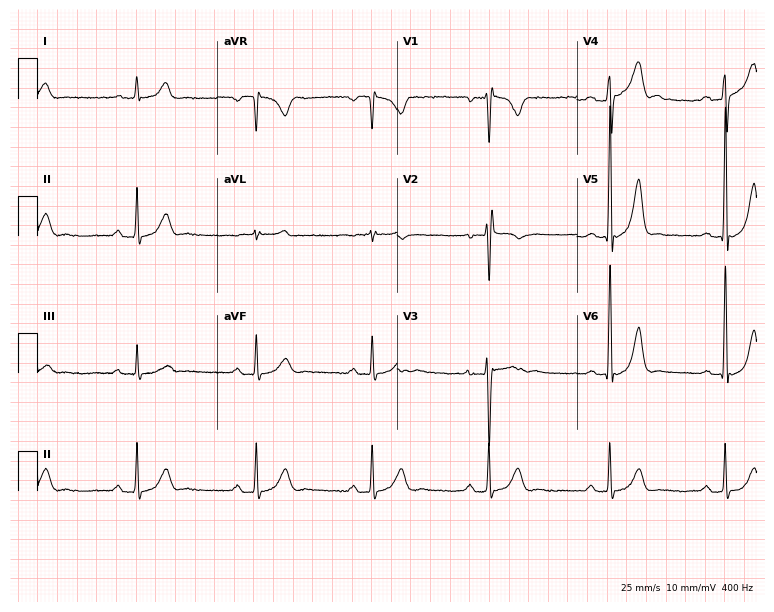
12-lead ECG from a male, 35 years old. Shows sinus bradycardia (a sinus rate of 50 beats per minute or less).